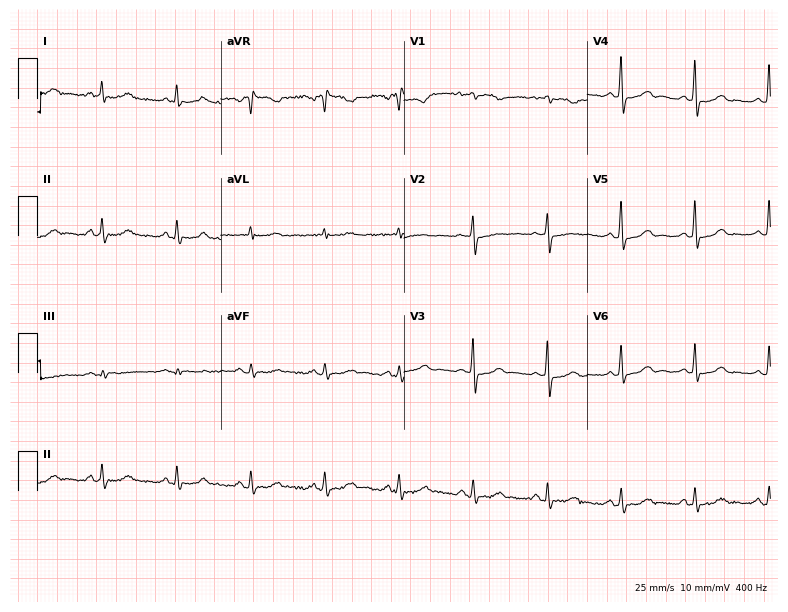
Standard 12-lead ECG recorded from a 70-year-old female (7.5-second recording at 400 Hz). Read as a normal ECG.